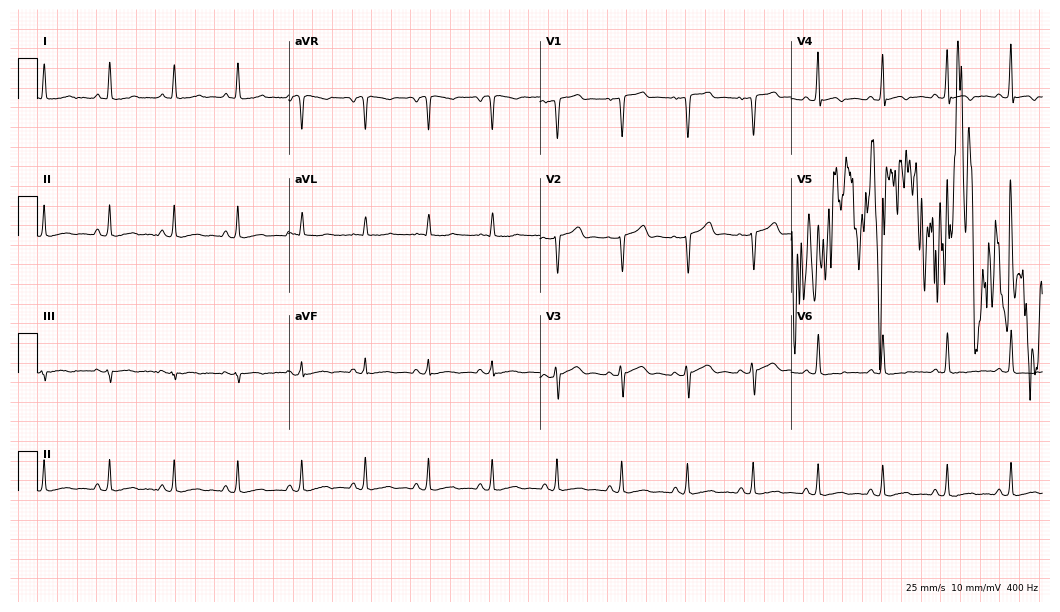
12-lead ECG from a 54-year-old female patient (10.2-second recording at 400 Hz). Recorded interpretation: within normal limits.